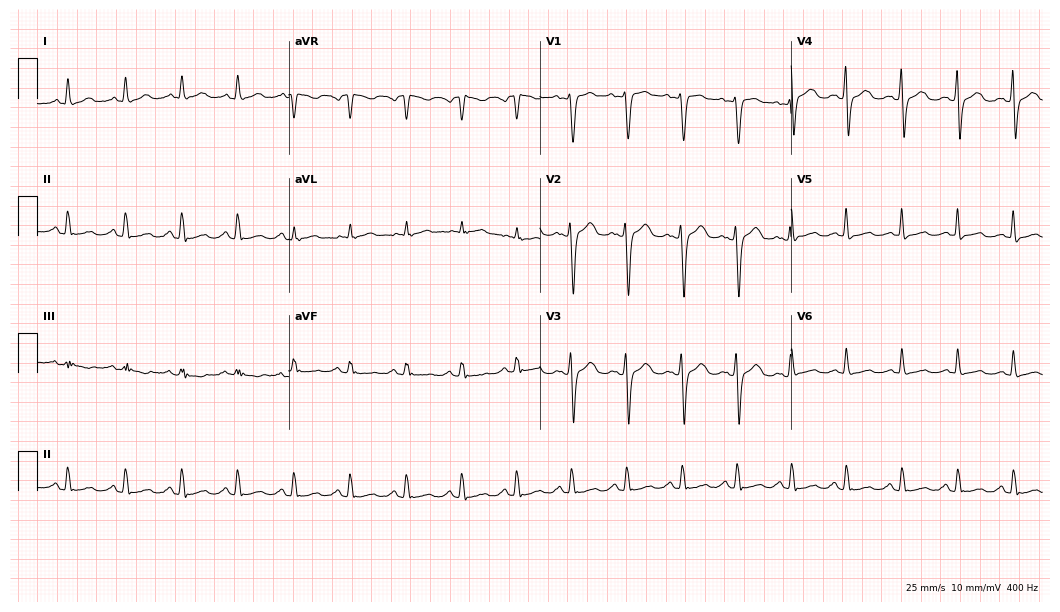
Resting 12-lead electrocardiogram (10.2-second recording at 400 Hz). Patient: a female, 35 years old. None of these six findings is recorded: first-degree AV block, right bundle branch block, left bundle branch block, sinus bradycardia, atrial fibrillation, sinus tachycardia. Findings outside these six are not listed.